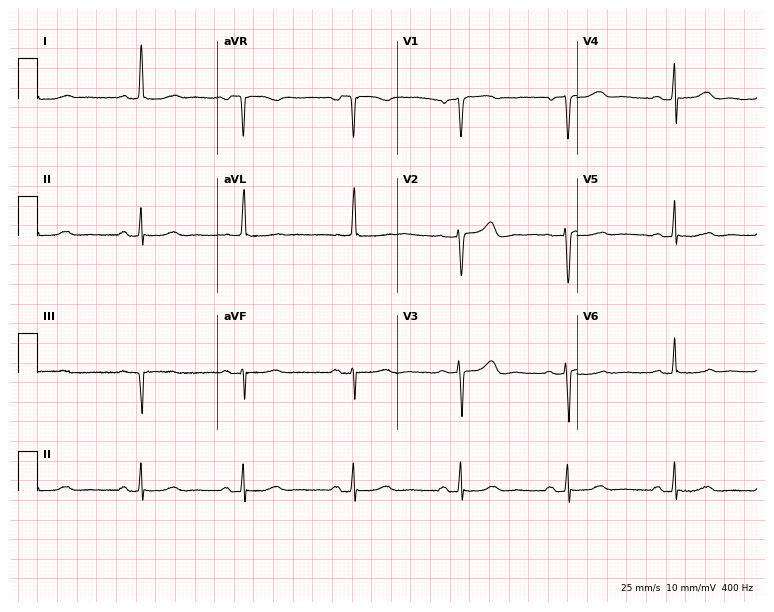
Electrocardiogram (7.3-second recording at 400 Hz), a female, 75 years old. Overall reading on record: normal ECG.